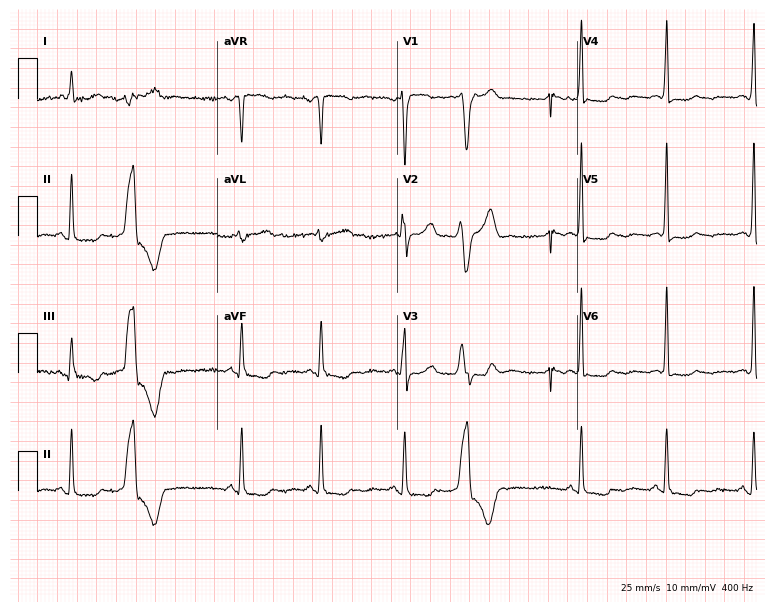
Resting 12-lead electrocardiogram. Patient: a female, 57 years old. None of these six findings is recorded: first-degree AV block, right bundle branch block, left bundle branch block, sinus bradycardia, atrial fibrillation, sinus tachycardia.